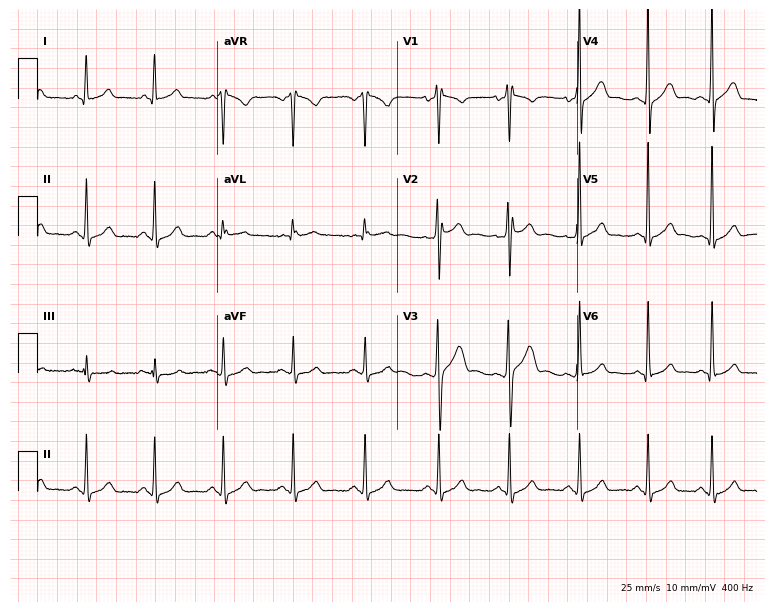
Standard 12-lead ECG recorded from a 21-year-old man (7.3-second recording at 400 Hz). Read as a normal ECG.